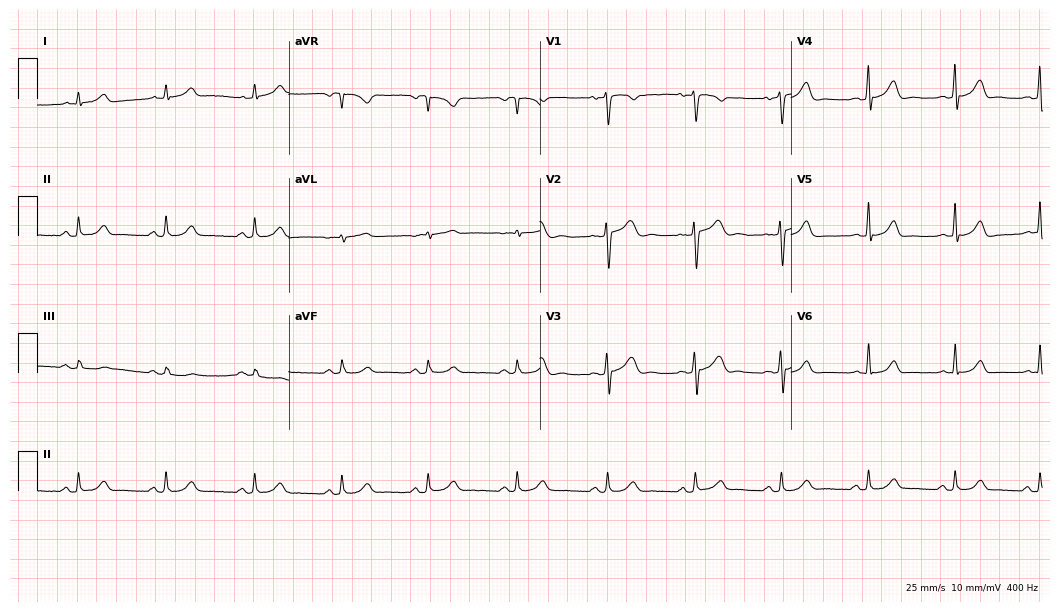
12-lead ECG (10.2-second recording at 400 Hz) from a 40-year-old female. Labelled as a normal ECG.